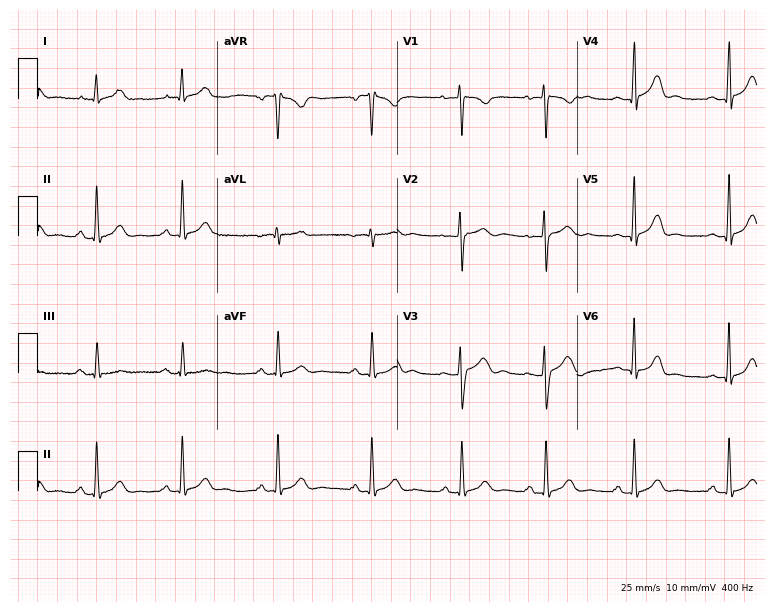
ECG — a female patient, 25 years old. Labelled as a normal ECG.